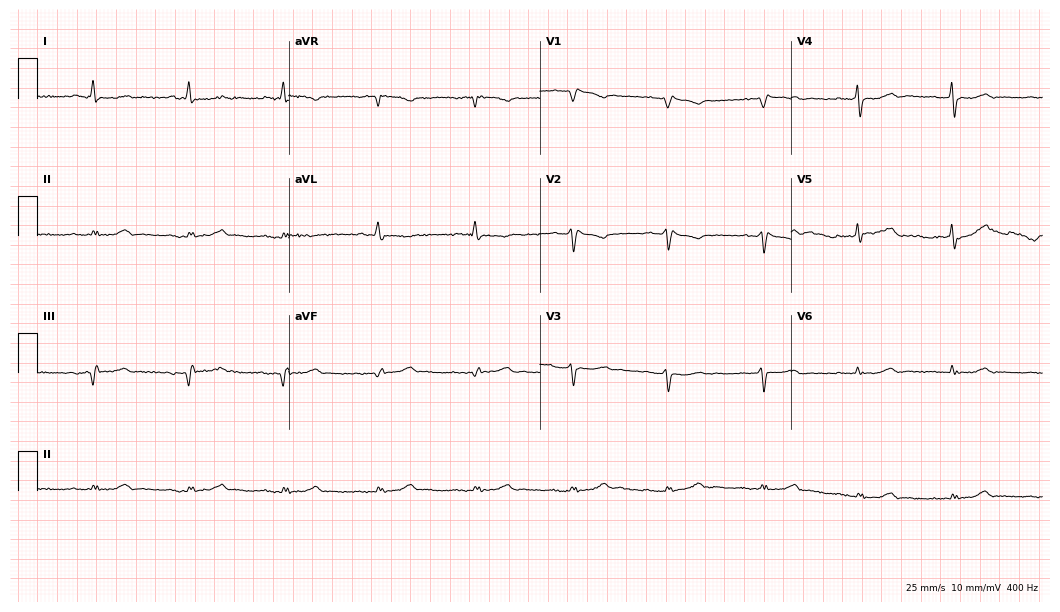
Resting 12-lead electrocardiogram. Patient: a woman, 78 years old. None of these six findings is recorded: first-degree AV block, right bundle branch block, left bundle branch block, sinus bradycardia, atrial fibrillation, sinus tachycardia. Only these six findings were labelled.